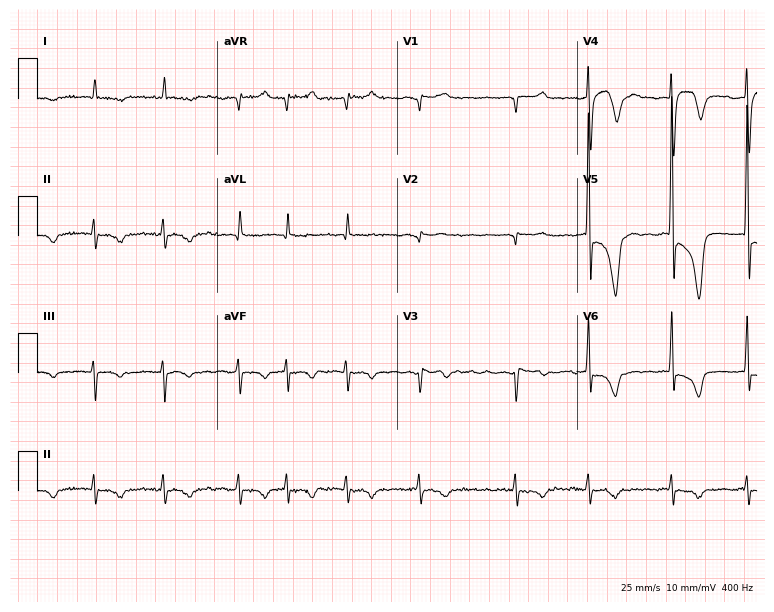
ECG (7.3-second recording at 400 Hz) — a female patient, 82 years old. Findings include atrial fibrillation (AF).